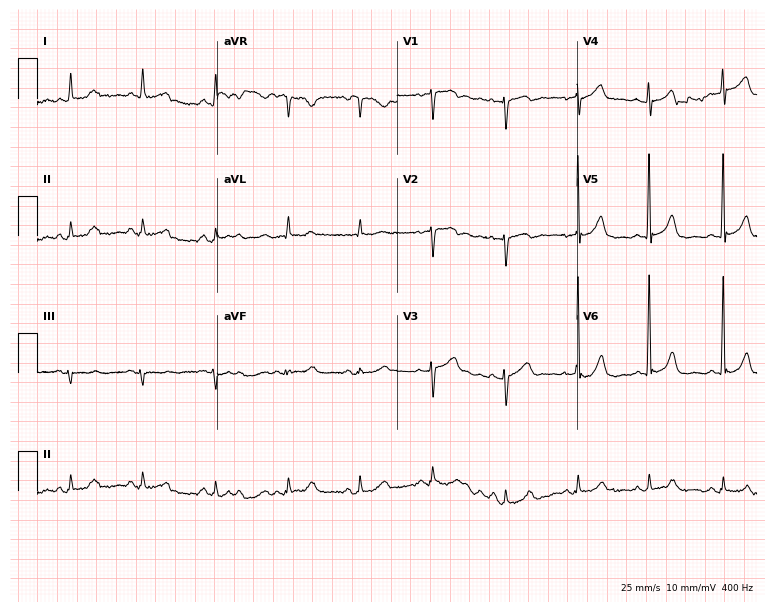
ECG (7.3-second recording at 400 Hz) — a woman, 80 years old. Screened for six findings — first-degree AV block, right bundle branch block (RBBB), left bundle branch block (LBBB), sinus bradycardia, atrial fibrillation (AF), sinus tachycardia — none is recorded. Only these six findings were labelled.